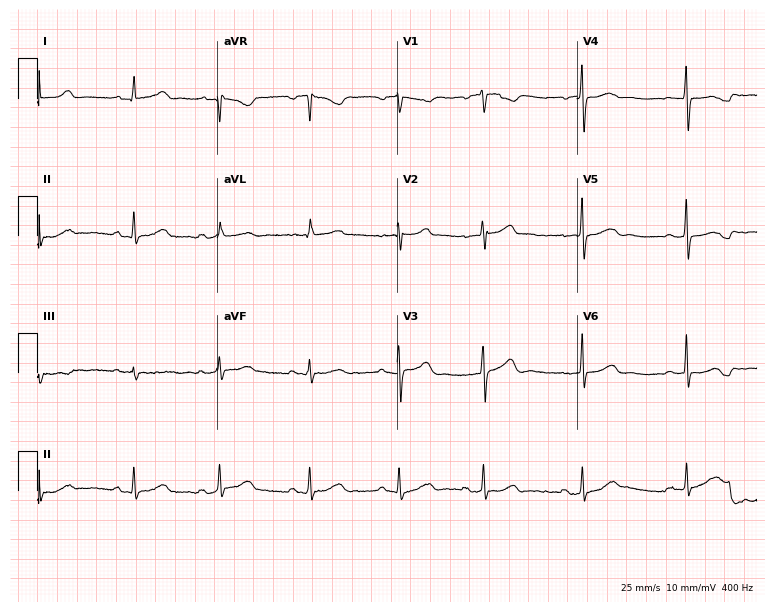
Standard 12-lead ECG recorded from a 39-year-old woman. Read as a normal ECG.